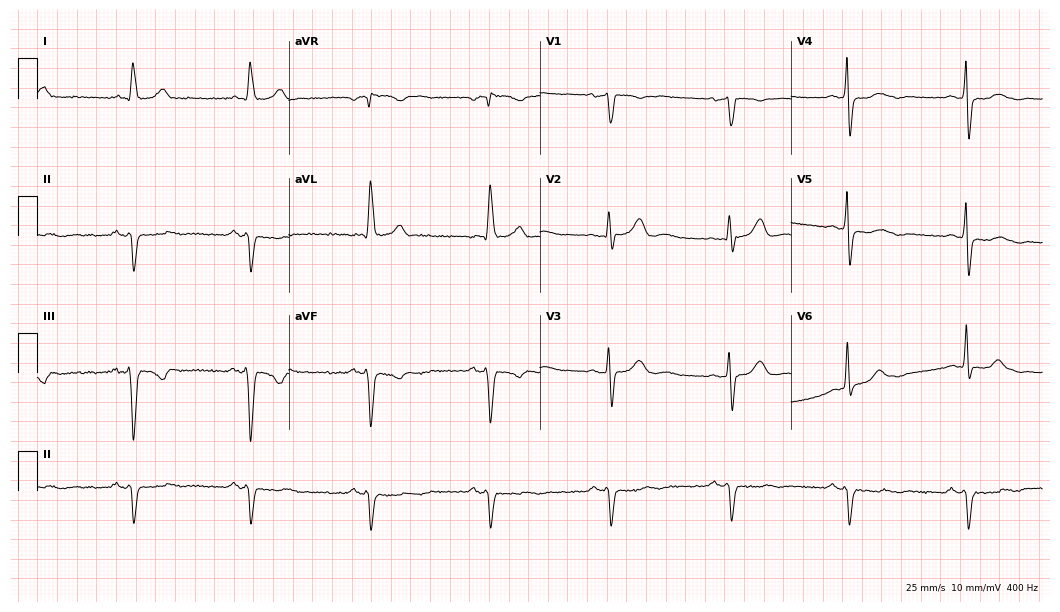
Standard 12-lead ECG recorded from a male patient, 76 years old (10.2-second recording at 400 Hz). None of these six findings is recorded: first-degree AV block, right bundle branch block, left bundle branch block, sinus bradycardia, atrial fibrillation, sinus tachycardia.